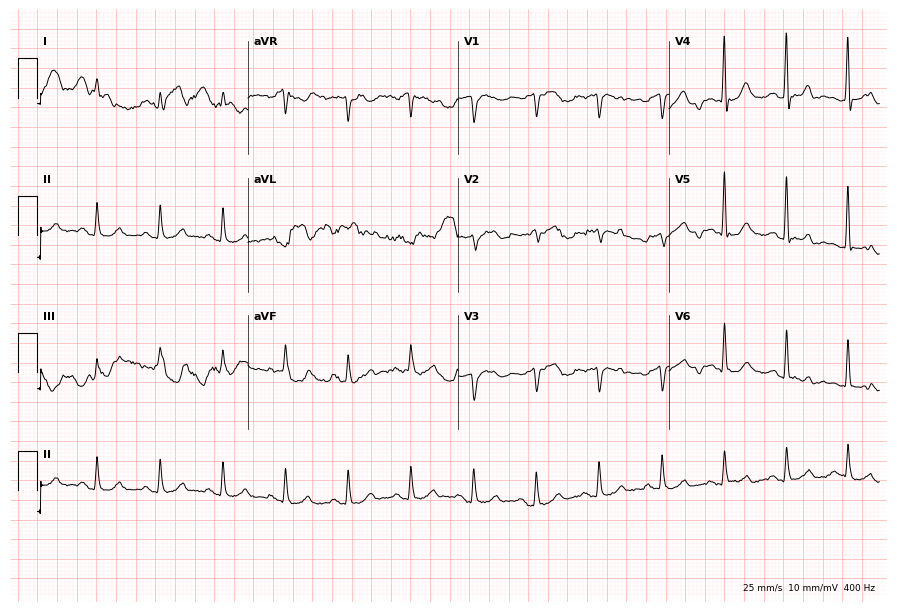
Standard 12-lead ECG recorded from an 81-year-old male (8.6-second recording at 400 Hz). Read as a normal ECG.